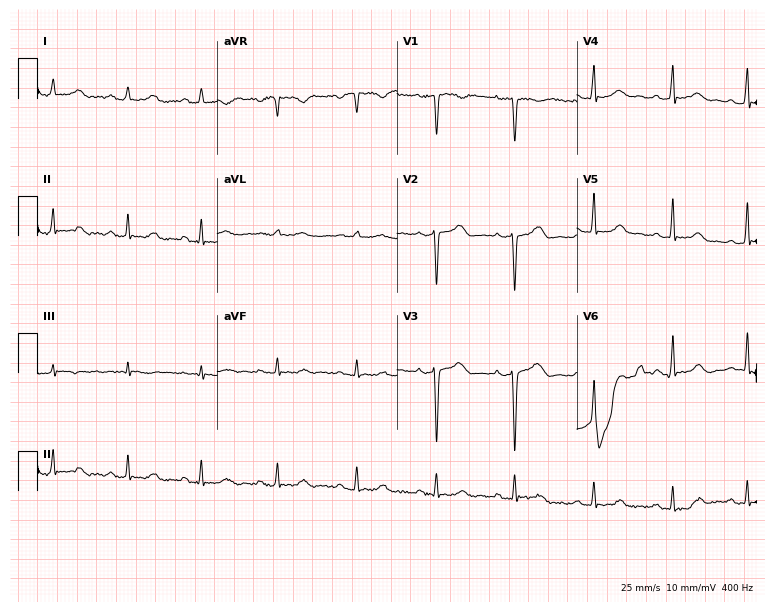
12-lead ECG from a woman, 33 years old. Screened for six findings — first-degree AV block, right bundle branch block, left bundle branch block, sinus bradycardia, atrial fibrillation, sinus tachycardia — none is recorded. Other findings, if any, are not listed.